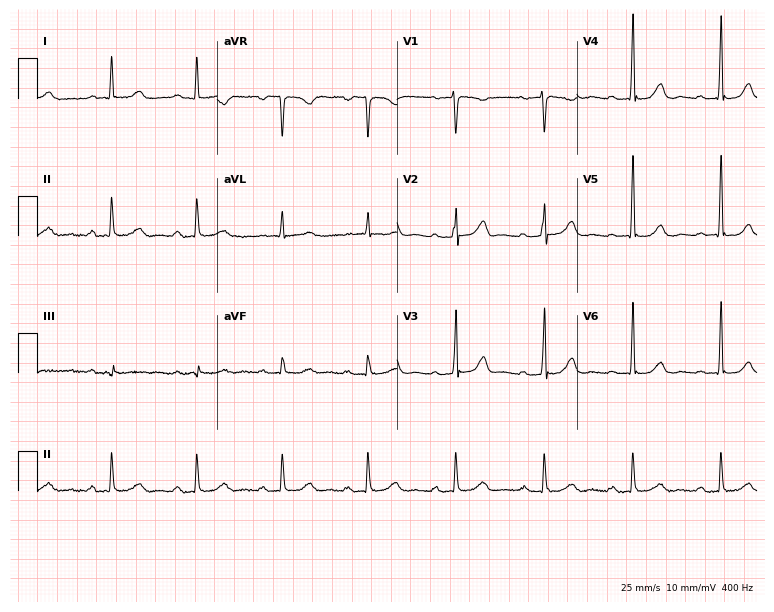
12-lead ECG from a female, 56 years old (7.3-second recording at 400 Hz). Recorded interpretation: within normal limits.